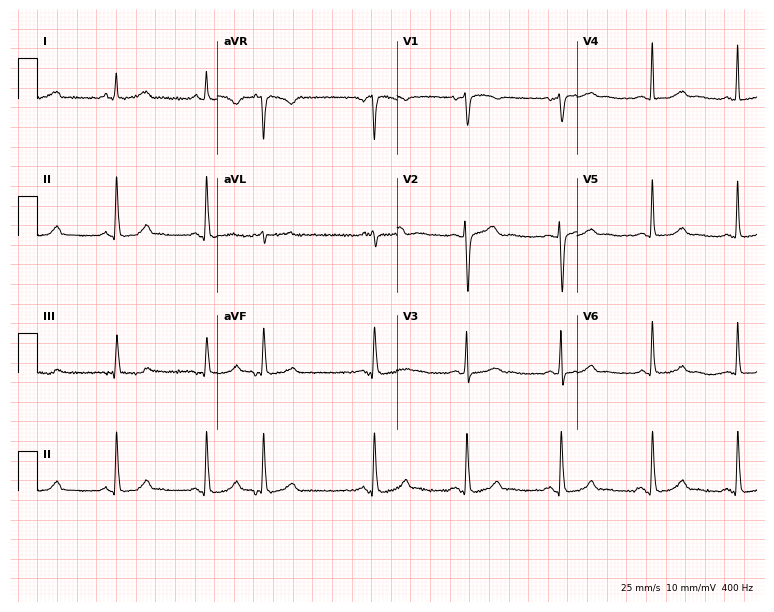
Resting 12-lead electrocardiogram. Patient: a 54-year-old woman. None of these six findings is recorded: first-degree AV block, right bundle branch block (RBBB), left bundle branch block (LBBB), sinus bradycardia, atrial fibrillation (AF), sinus tachycardia. Findings outside these six are not listed.